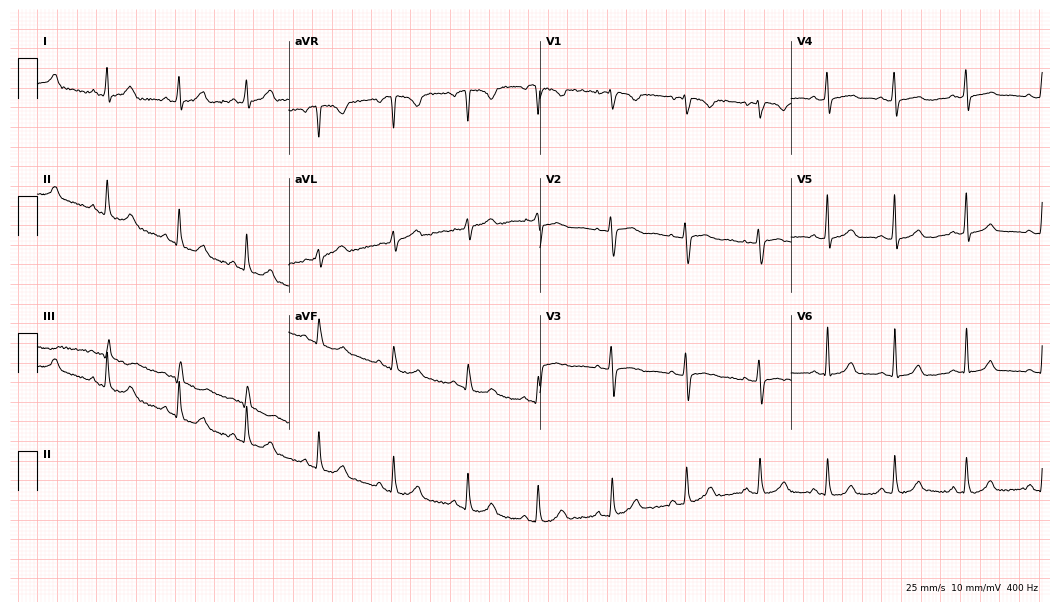
ECG — a 29-year-old female patient. Labelled as a normal ECG.